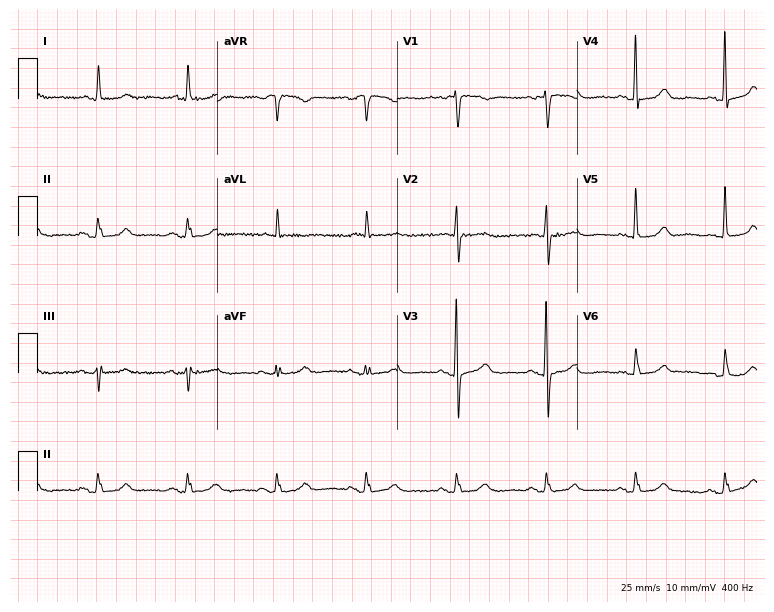
Resting 12-lead electrocardiogram. Patient: an 85-year-old female. Read as a normal ECG.